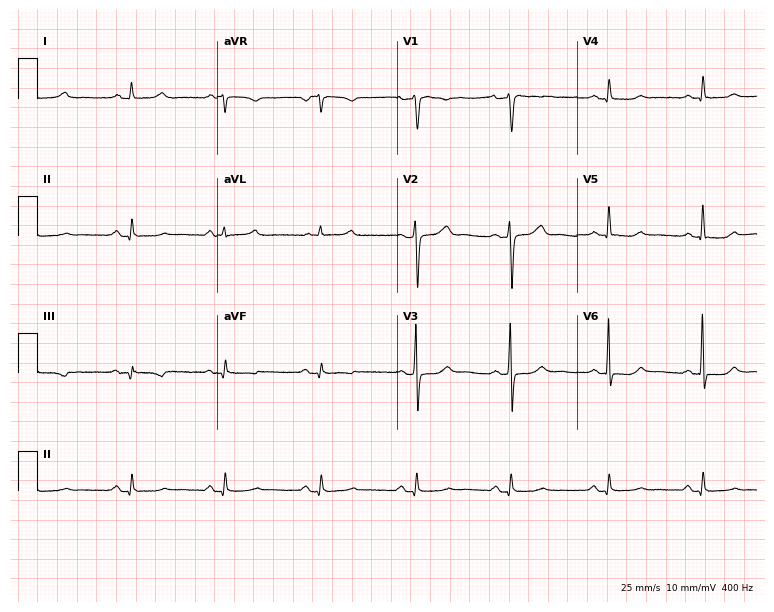
Resting 12-lead electrocardiogram. Patient: a female, 59 years old. None of these six findings is recorded: first-degree AV block, right bundle branch block, left bundle branch block, sinus bradycardia, atrial fibrillation, sinus tachycardia.